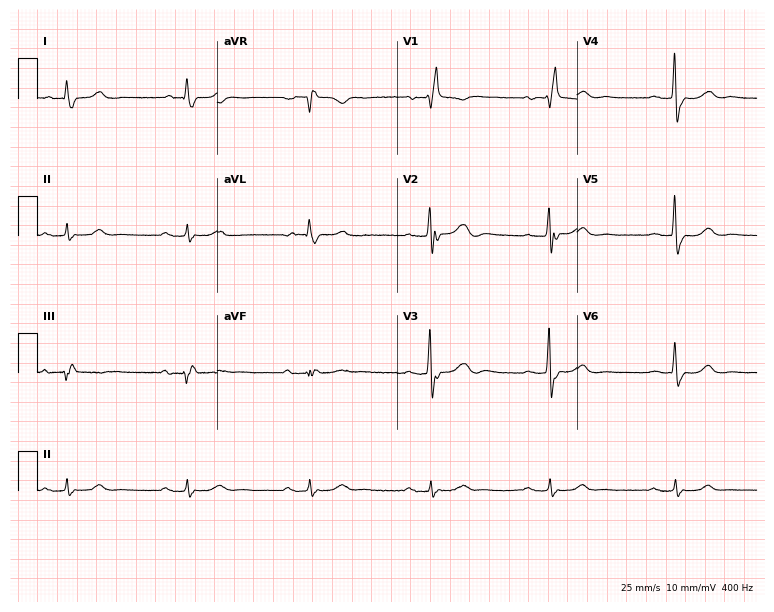
12-lead ECG from a man, 78 years old. Findings include first-degree AV block, right bundle branch block, sinus bradycardia (a sinus rate of 50 beats per minute or less).